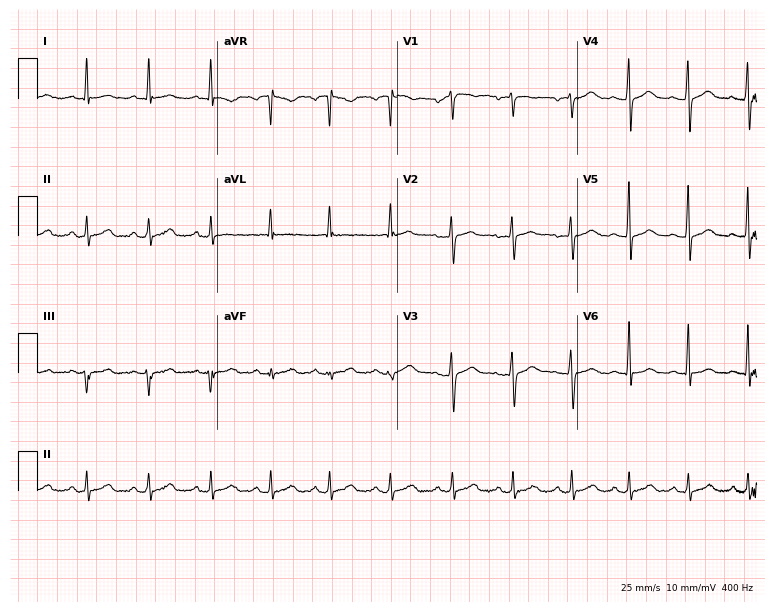
Standard 12-lead ECG recorded from a 37-year-old woman (7.3-second recording at 400 Hz). None of these six findings is recorded: first-degree AV block, right bundle branch block, left bundle branch block, sinus bradycardia, atrial fibrillation, sinus tachycardia. Findings outside these six are not listed.